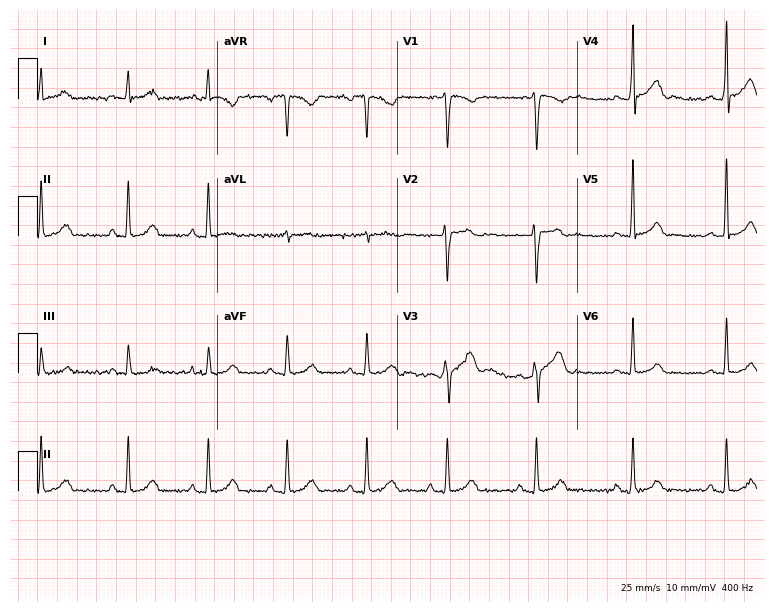
ECG — a 26-year-old male. Screened for six findings — first-degree AV block, right bundle branch block (RBBB), left bundle branch block (LBBB), sinus bradycardia, atrial fibrillation (AF), sinus tachycardia — none is recorded.